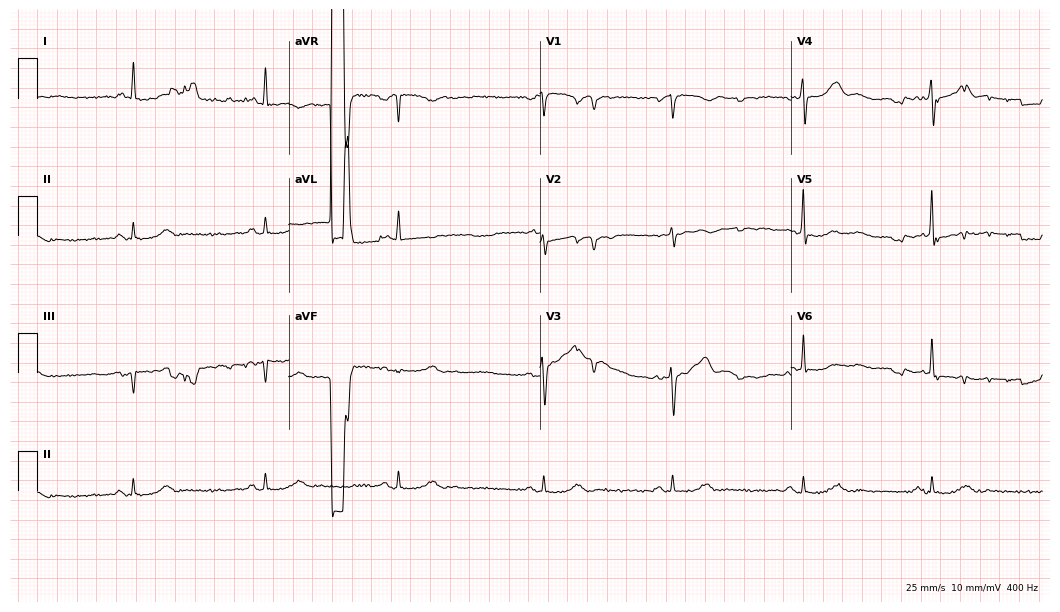
ECG — an 82-year-old male patient. Screened for six findings — first-degree AV block, right bundle branch block (RBBB), left bundle branch block (LBBB), sinus bradycardia, atrial fibrillation (AF), sinus tachycardia — none is recorded.